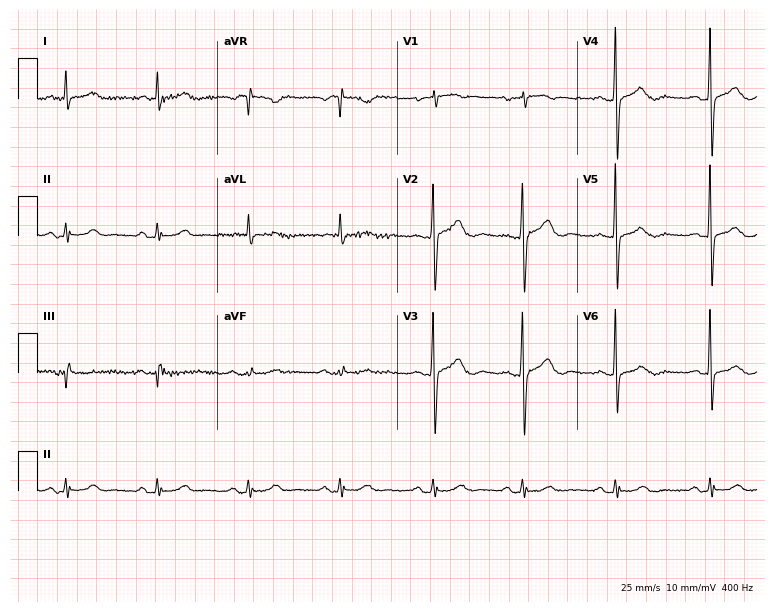
Standard 12-lead ECG recorded from a 75-year-old female (7.3-second recording at 400 Hz). None of these six findings is recorded: first-degree AV block, right bundle branch block (RBBB), left bundle branch block (LBBB), sinus bradycardia, atrial fibrillation (AF), sinus tachycardia.